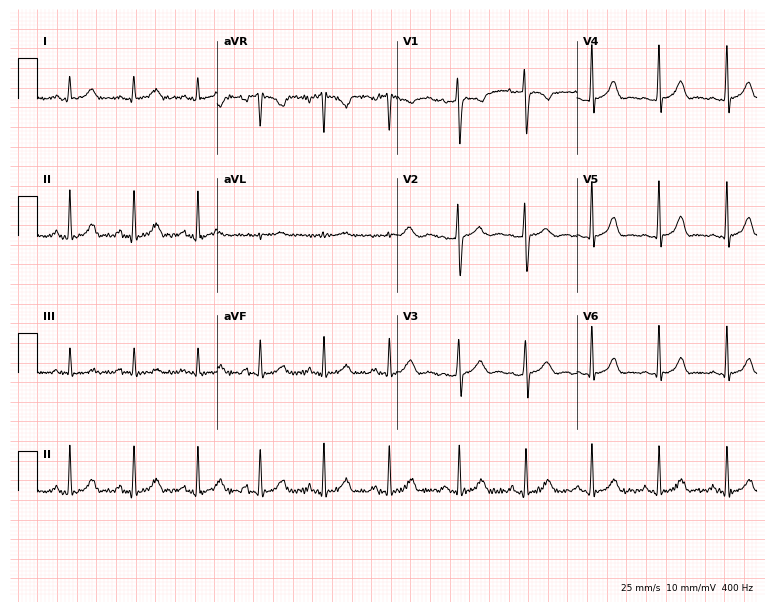
Standard 12-lead ECG recorded from a woman, 25 years old. Read as a normal ECG.